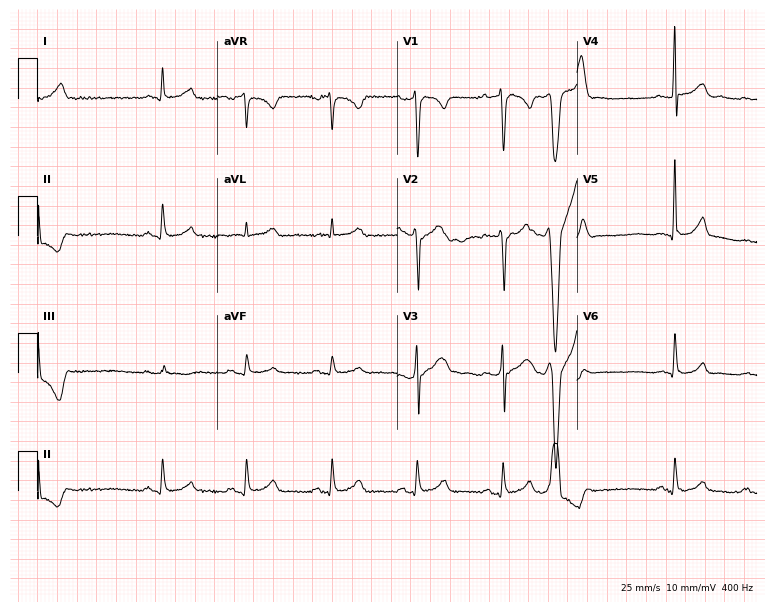
12-lead ECG from a 35-year-old man. Screened for six findings — first-degree AV block, right bundle branch block, left bundle branch block, sinus bradycardia, atrial fibrillation, sinus tachycardia — none is recorded. Findings outside these six are not listed.